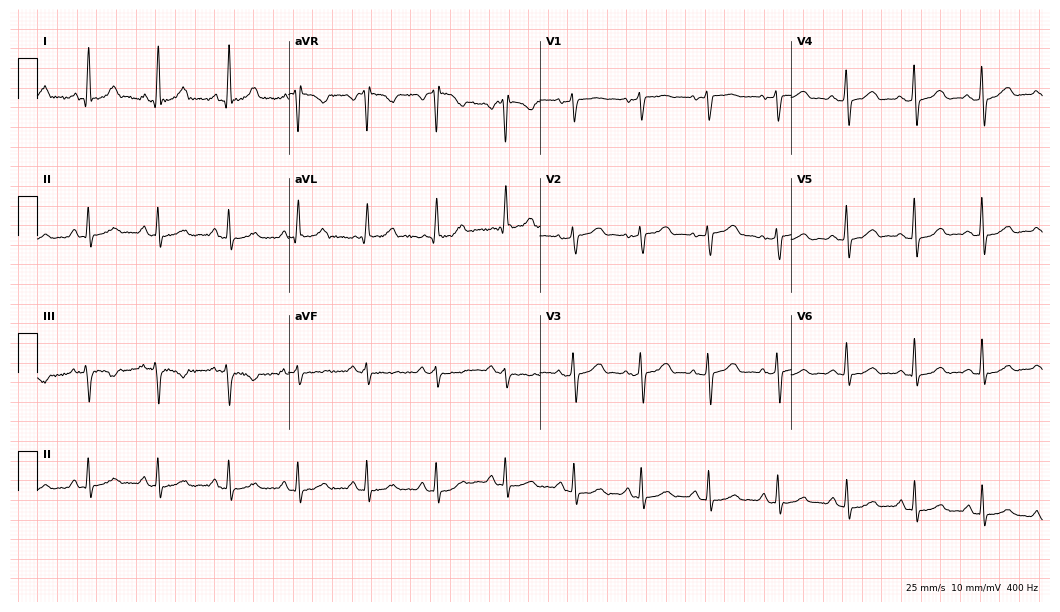
Standard 12-lead ECG recorded from a female patient, 48 years old (10.2-second recording at 400 Hz). None of these six findings is recorded: first-degree AV block, right bundle branch block (RBBB), left bundle branch block (LBBB), sinus bradycardia, atrial fibrillation (AF), sinus tachycardia. Findings outside these six are not listed.